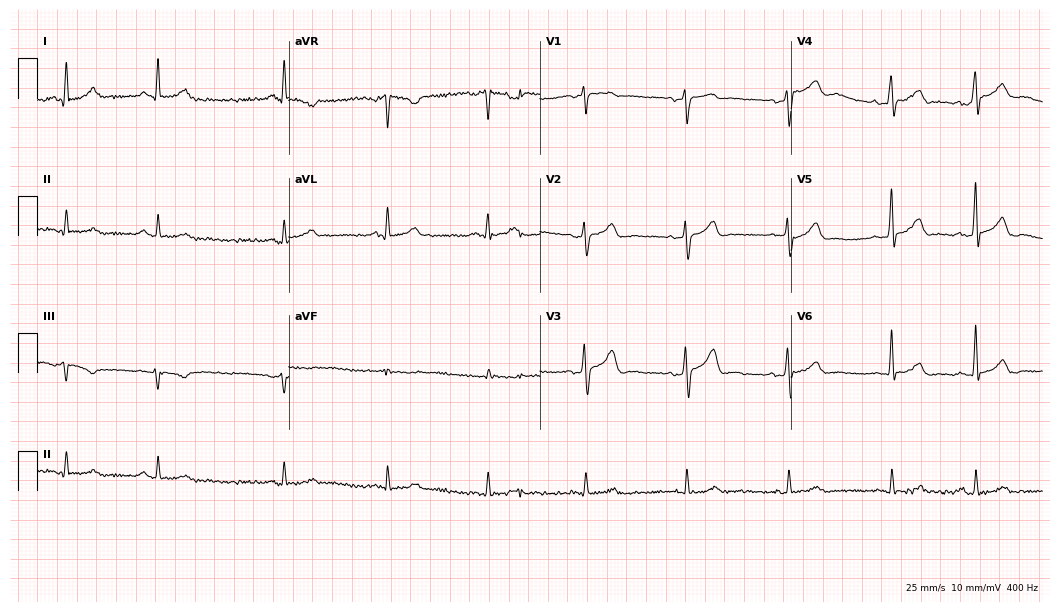
ECG — a 57-year-old male patient. Labelled as a normal ECG.